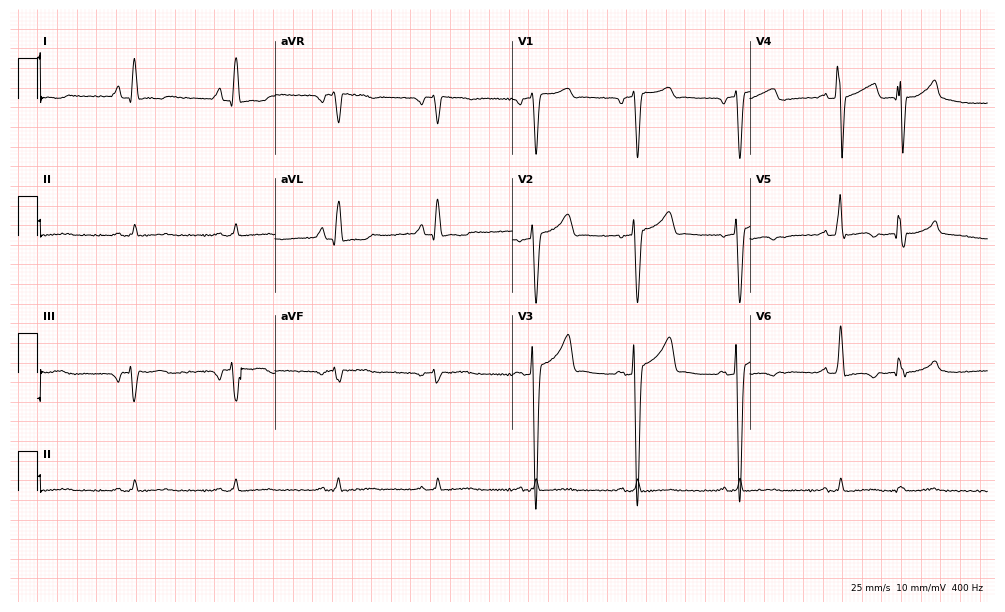
ECG — a 76-year-old male patient. Screened for six findings — first-degree AV block, right bundle branch block (RBBB), left bundle branch block (LBBB), sinus bradycardia, atrial fibrillation (AF), sinus tachycardia — none is recorded.